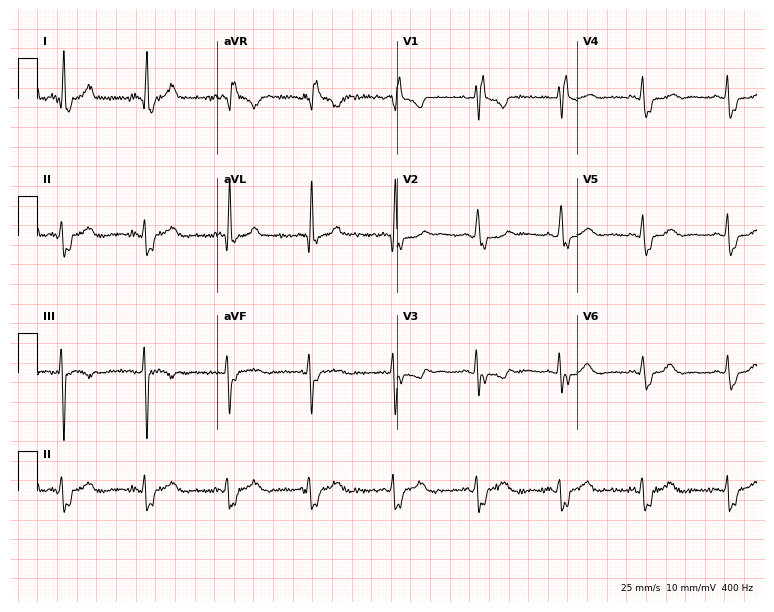
12-lead ECG from a 49-year-old female. Findings include right bundle branch block.